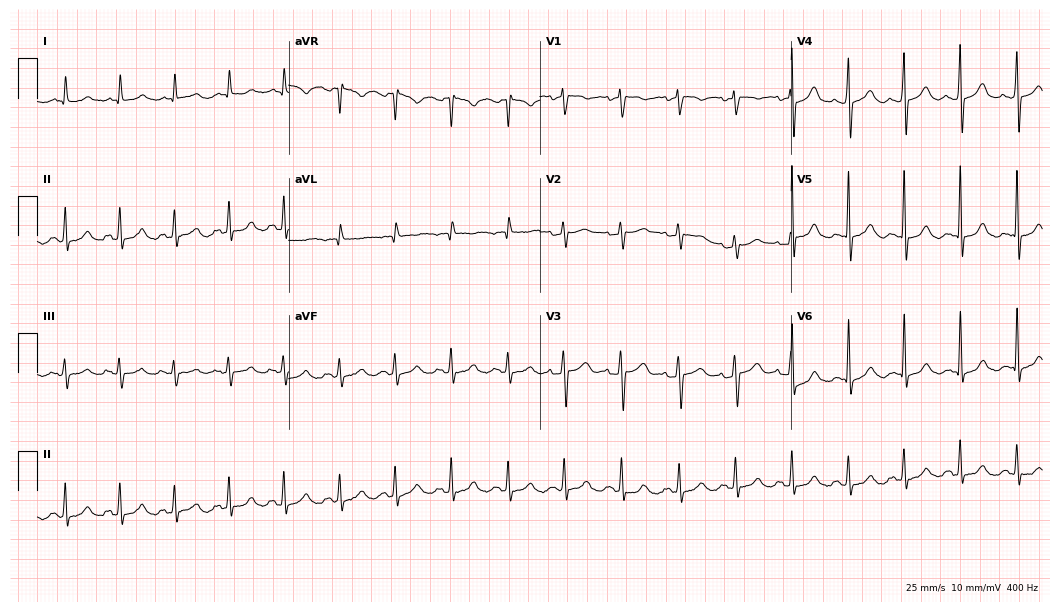
Electrocardiogram (10.2-second recording at 400 Hz), a 79-year-old female patient. Interpretation includes sinus tachycardia (a sinus rate of 100 beats per minute or more).